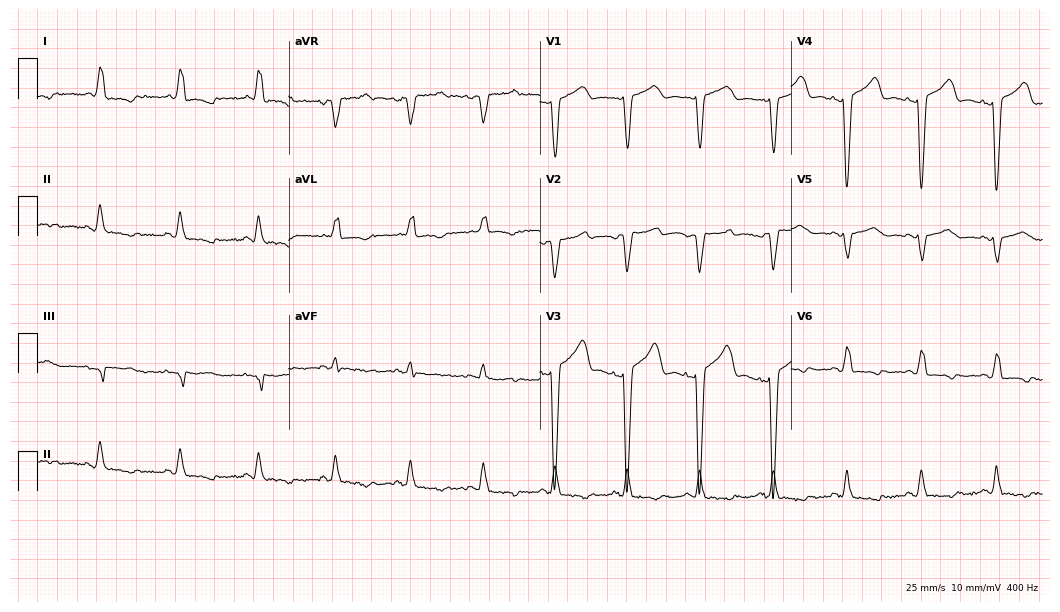
Electrocardiogram (10.2-second recording at 400 Hz), a female, 73 years old. Of the six screened findings (first-degree AV block, right bundle branch block, left bundle branch block, sinus bradycardia, atrial fibrillation, sinus tachycardia), none is recorded.